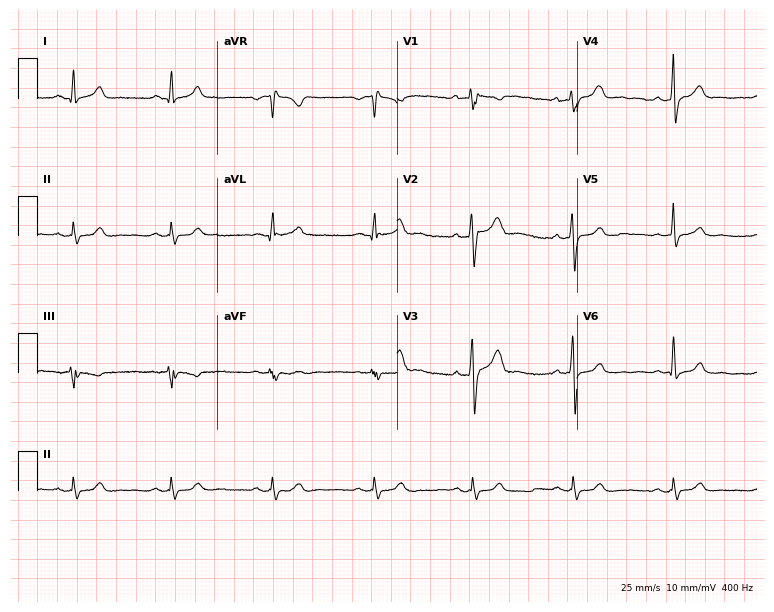
12-lead ECG (7.3-second recording at 400 Hz) from a male patient, 51 years old. Screened for six findings — first-degree AV block, right bundle branch block (RBBB), left bundle branch block (LBBB), sinus bradycardia, atrial fibrillation (AF), sinus tachycardia — none is recorded.